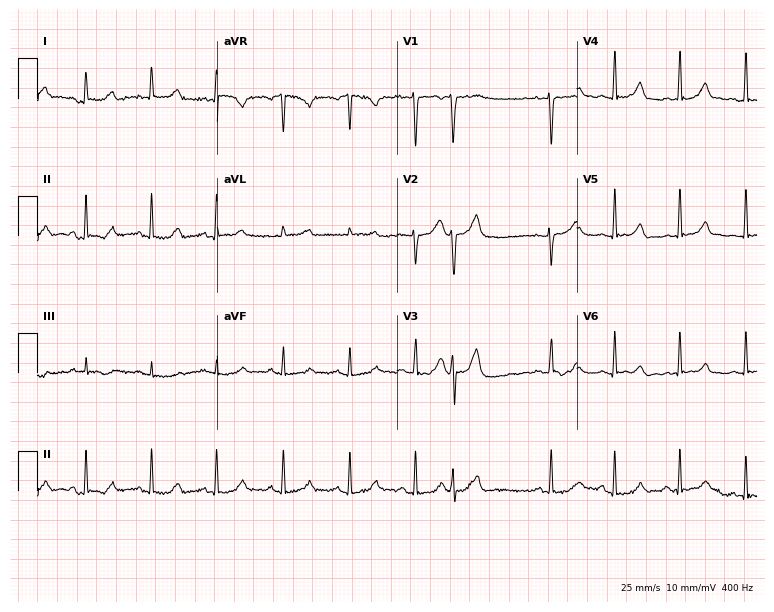
Electrocardiogram, a 41-year-old female patient. Of the six screened findings (first-degree AV block, right bundle branch block, left bundle branch block, sinus bradycardia, atrial fibrillation, sinus tachycardia), none is recorded.